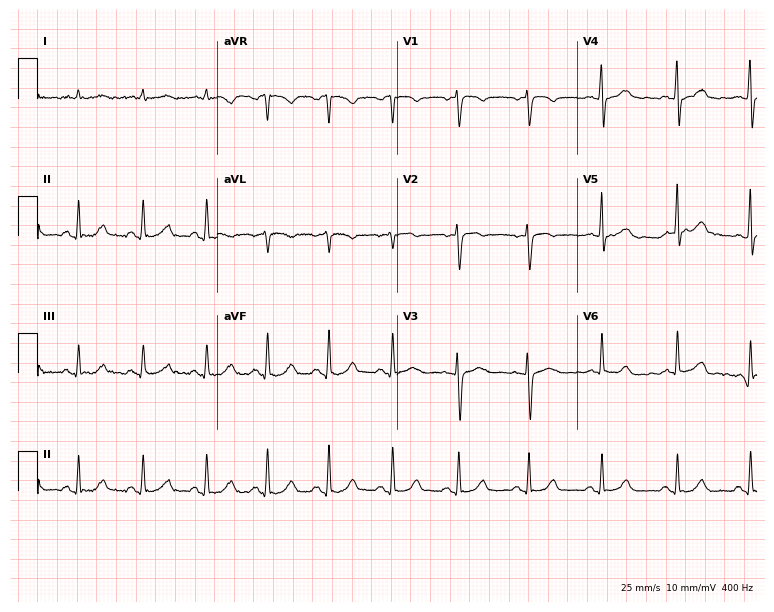
ECG — a 57-year-old woman. Labelled as a normal ECG.